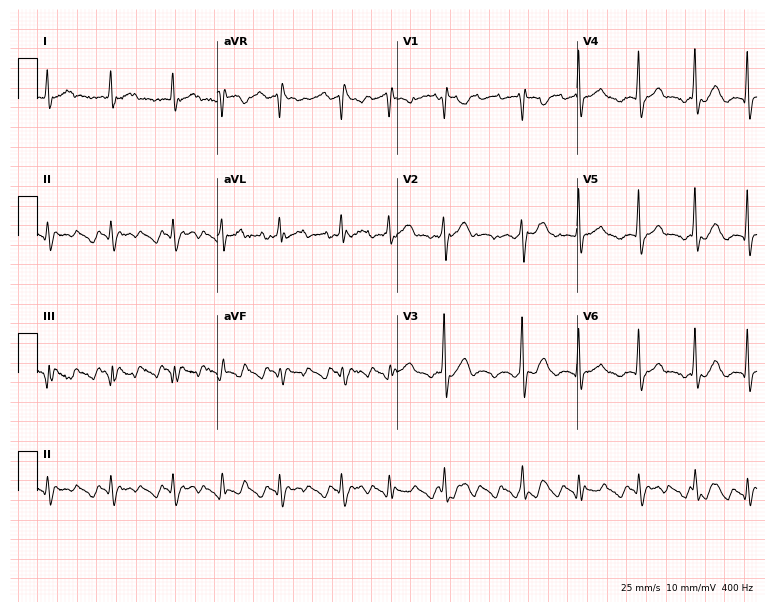
Standard 12-lead ECG recorded from a man, 63 years old (7.3-second recording at 400 Hz). The tracing shows atrial fibrillation.